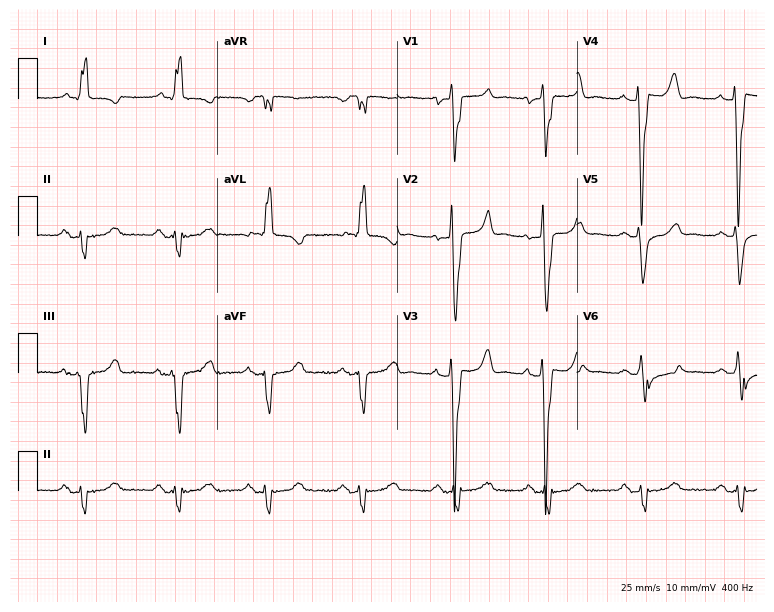
ECG (7.3-second recording at 400 Hz) — a man, 41 years old. Findings include left bundle branch block (LBBB).